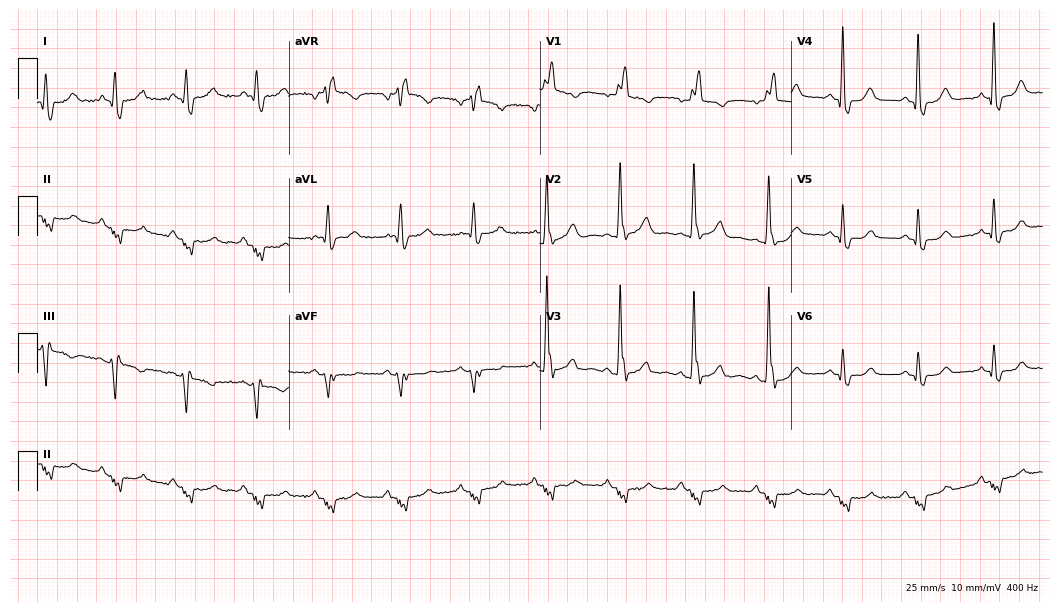
Standard 12-lead ECG recorded from a 72-year-old female patient (10.2-second recording at 400 Hz). The tracing shows right bundle branch block (RBBB).